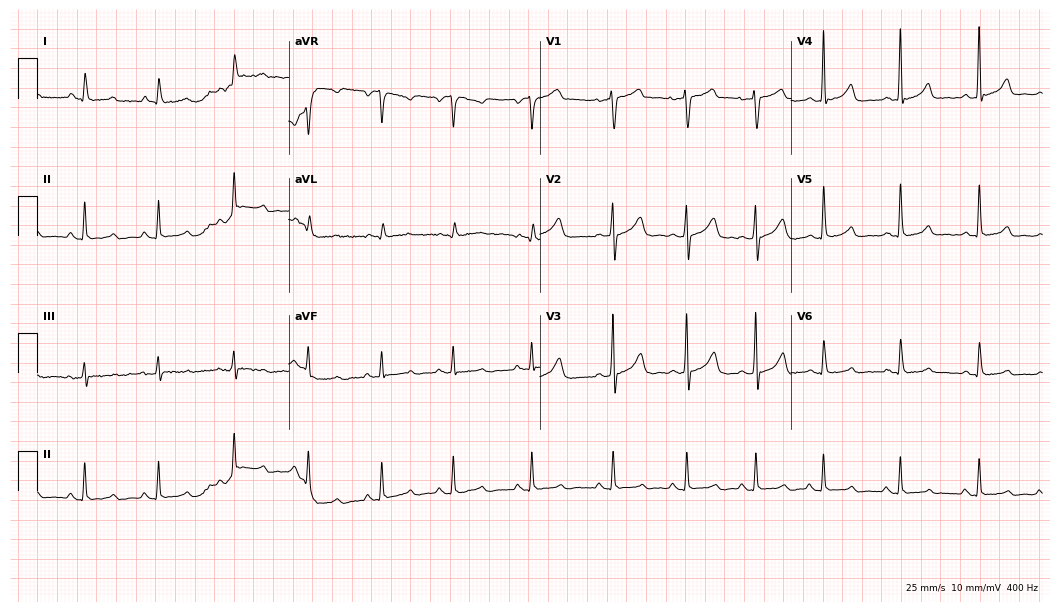
ECG — a 39-year-old male. Labelled as a normal ECG.